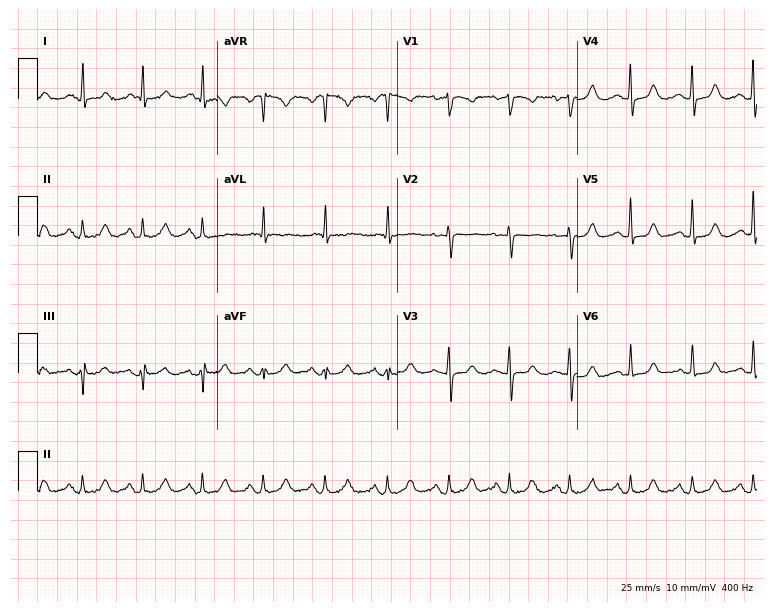
12-lead ECG from a female patient, 64 years old (7.3-second recording at 400 Hz). Recorded interpretation: within normal limits.